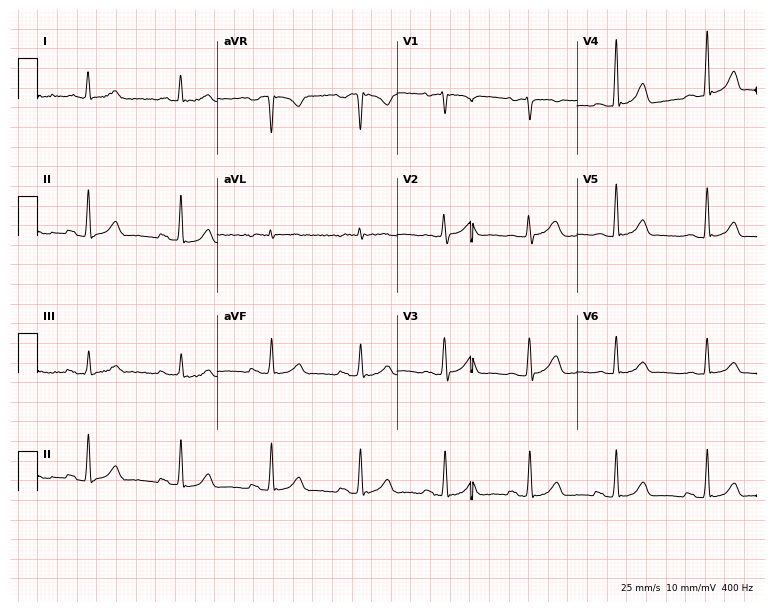
Standard 12-lead ECG recorded from a 54-year-old male patient. None of these six findings is recorded: first-degree AV block, right bundle branch block, left bundle branch block, sinus bradycardia, atrial fibrillation, sinus tachycardia.